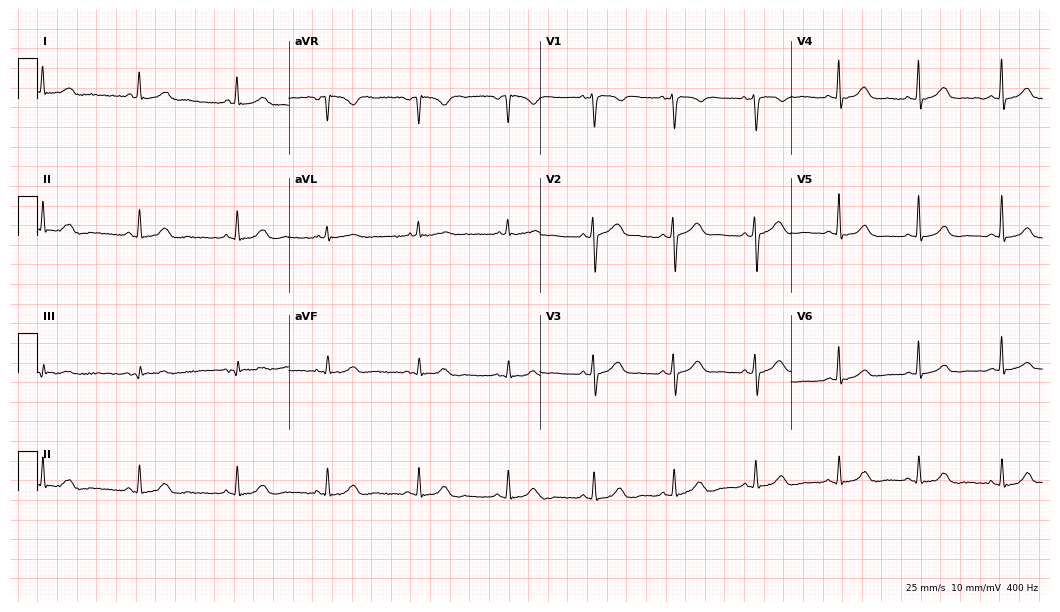
12-lead ECG from a female, 36 years old. Recorded interpretation: within normal limits.